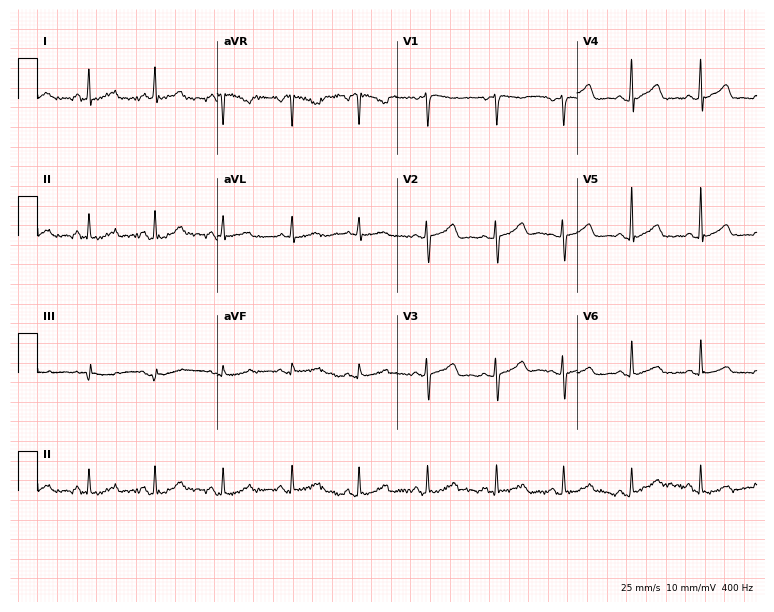
12-lead ECG from a 41-year-old female patient (7.3-second recording at 400 Hz). Recorded interpretation: within normal limits.